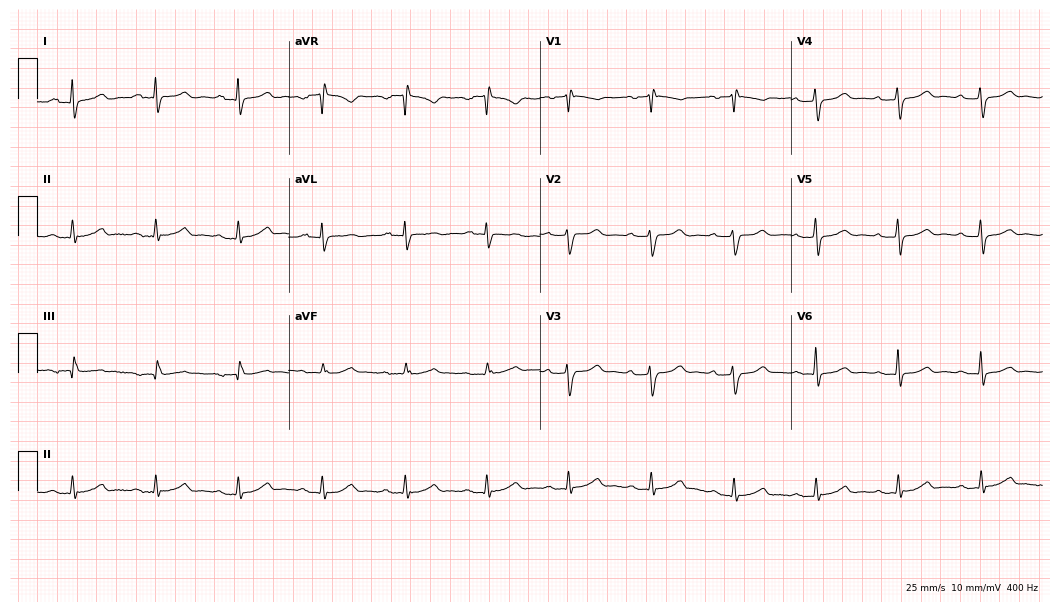
Standard 12-lead ECG recorded from a female, 53 years old (10.2-second recording at 400 Hz). Read as a normal ECG.